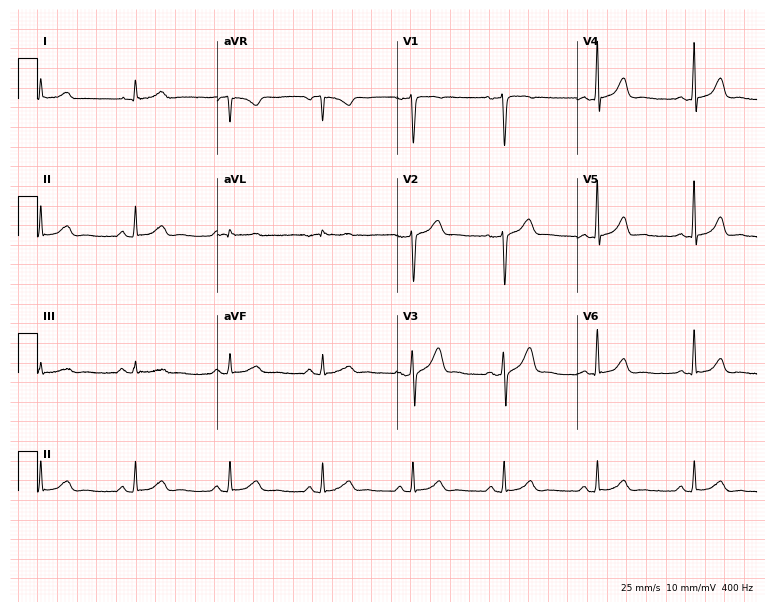
ECG (7.3-second recording at 400 Hz) — a 50-year-old male. Labelled as a normal ECG.